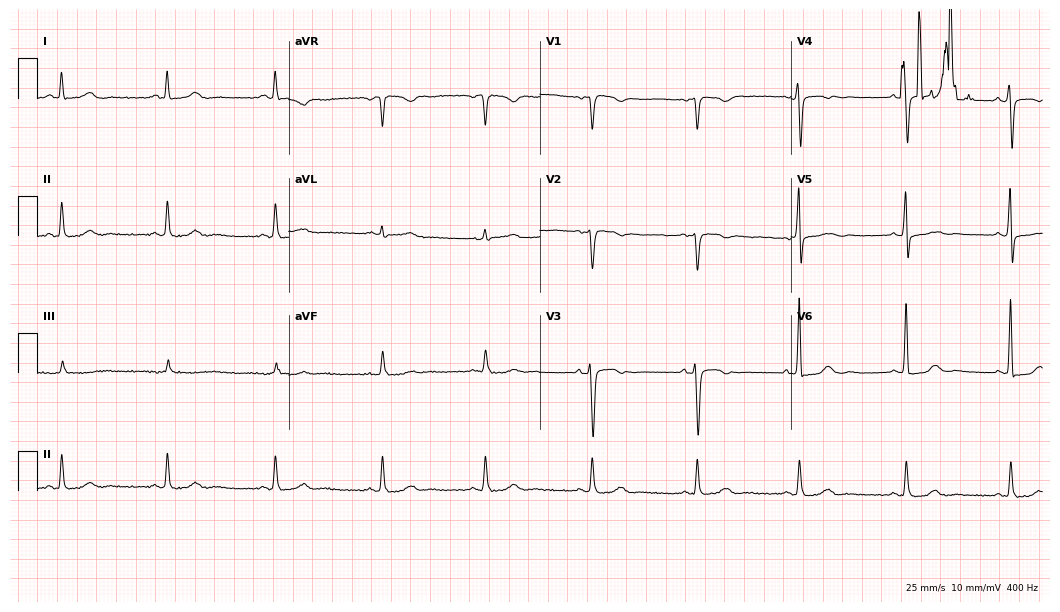
12-lead ECG from a 54-year-old female patient. No first-degree AV block, right bundle branch block (RBBB), left bundle branch block (LBBB), sinus bradycardia, atrial fibrillation (AF) or sinus tachycardia recorded for this tracing. Findings outside these six are not listed.